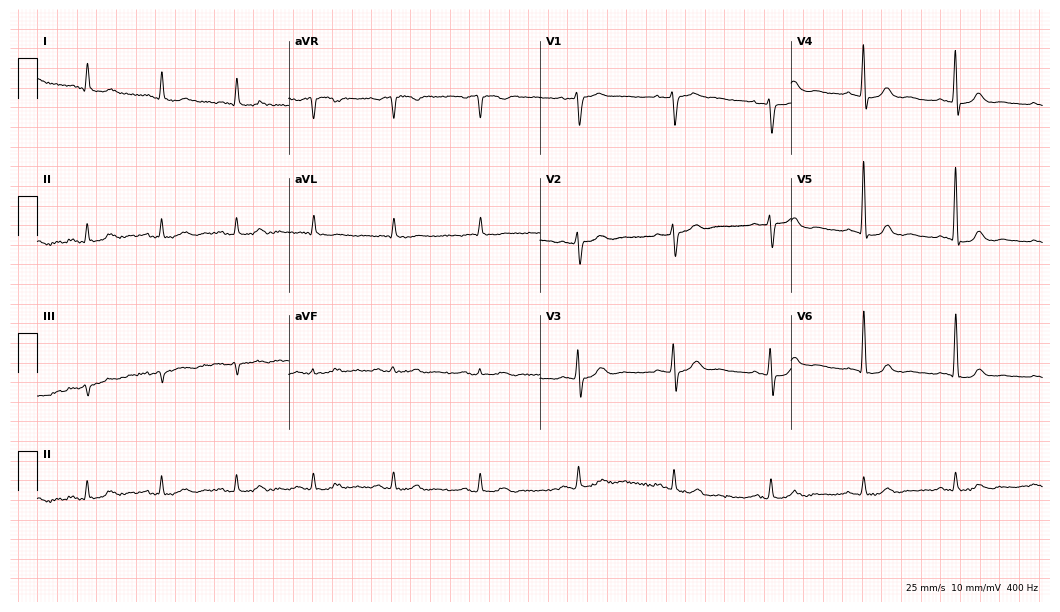
Standard 12-lead ECG recorded from a male, 72 years old (10.2-second recording at 400 Hz). Read as a normal ECG.